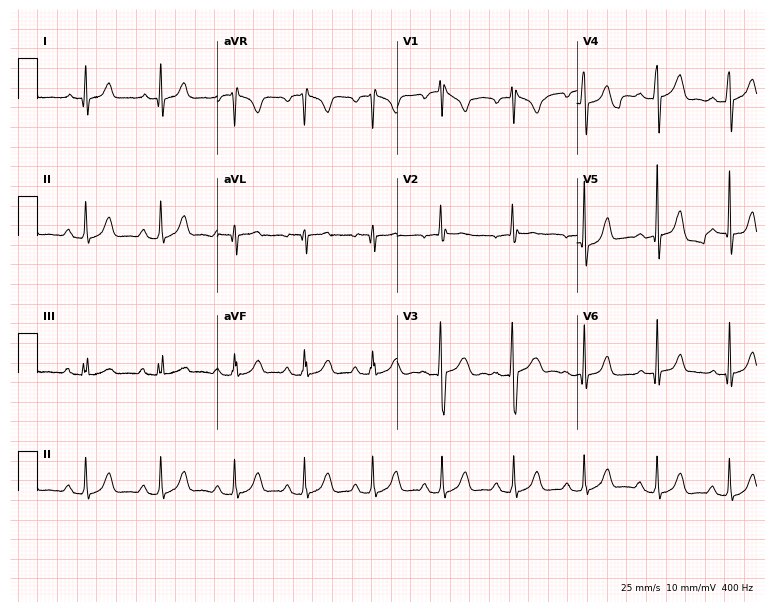
12-lead ECG from a 26-year-old female. Recorded interpretation: within normal limits.